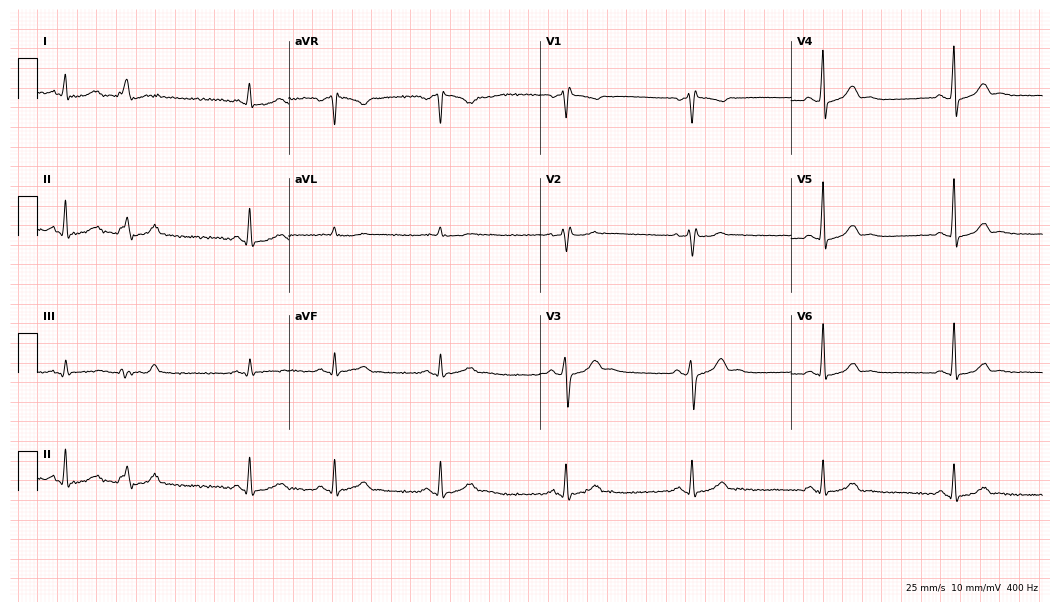
12-lead ECG from a man, 50 years old (10.2-second recording at 400 Hz). No first-degree AV block, right bundle branch block, left bundle branch block, sinus bradycardia, atrial fibrillation or sinus tachycardia recorded for this tracing. Findings outside these six are not listed.